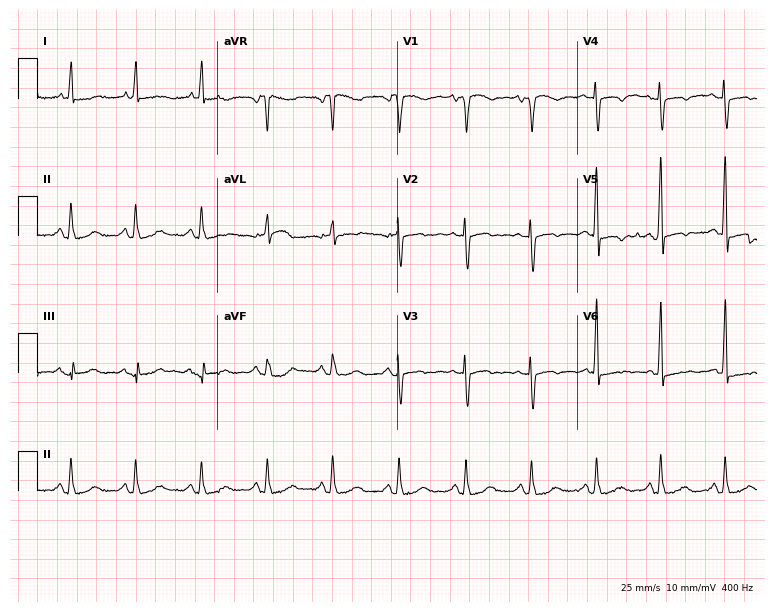
Electrocardiogram (7.3-second recording at 400 Hz), a female, 81 years old. Of the six screened findings (first-degree AV block, right bundle branch block, left bundle branch block, sinus bradycardia, atrial fibrillation, sinus tachycardia), none is recorded.